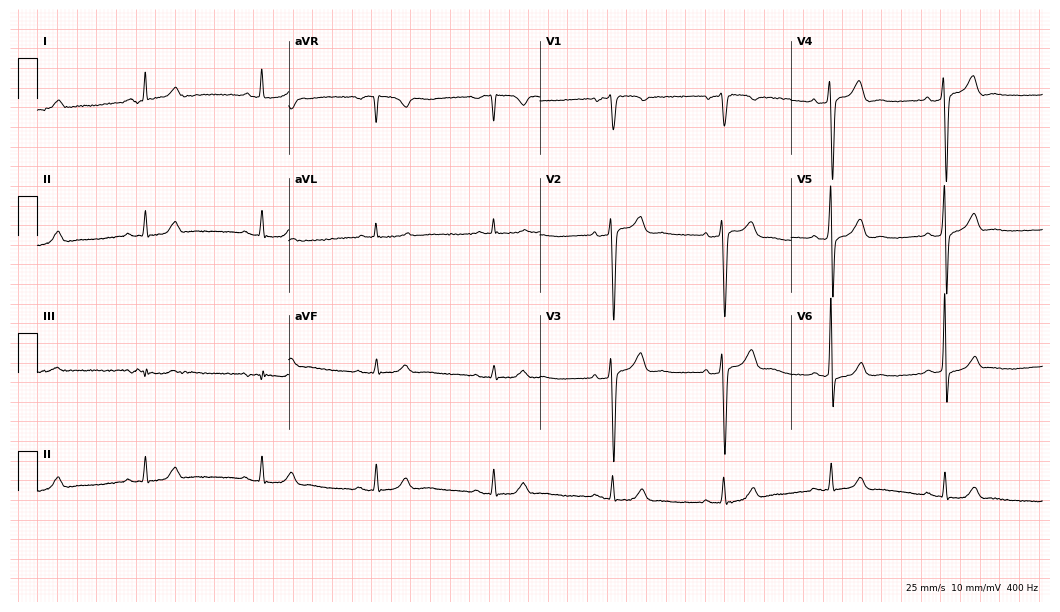
12-lead ECG from a 43-year-old man (10.2-second recording at 400 Hz). Recorded interpretation: within normal limits.